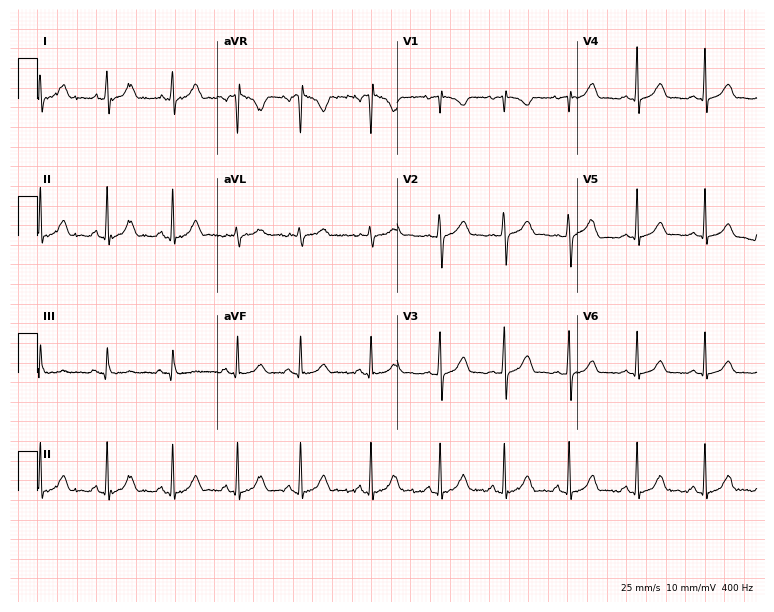
Resting 12-lead electrocardiogram. Patient: a woman, 21 years old. Read as a normal ECG.